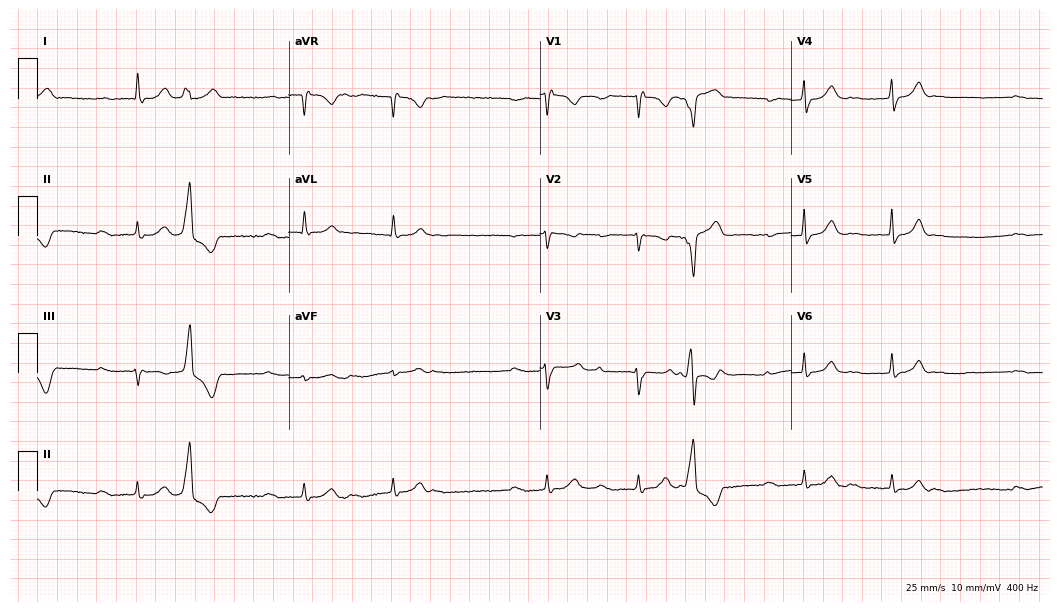
Resting 12-lead electrocardiogram (10.2-second recording at 400 Hz). Patient: a female, 71 years old. The tracing shows atrial fibrillation (AF).